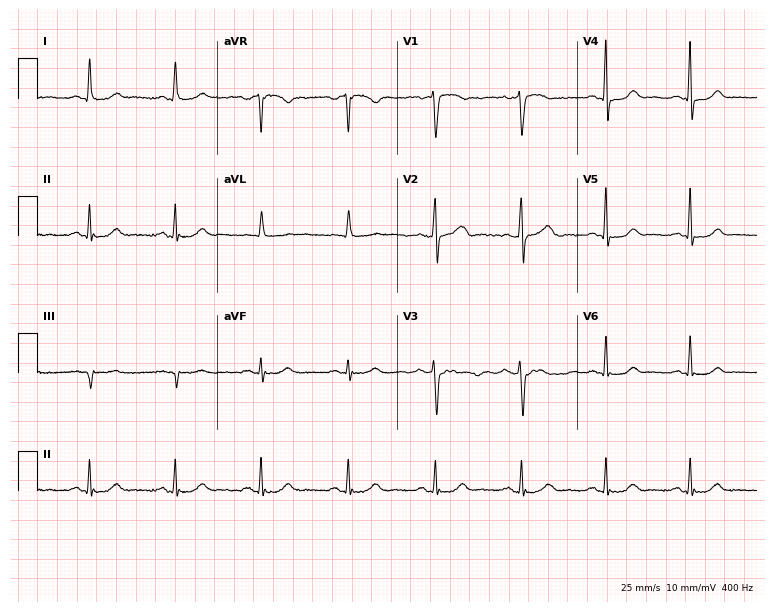
12-lead ECG (7.3-second recording at 400 Hz) from a female, 51 years old. Labelled as a normal ECG.